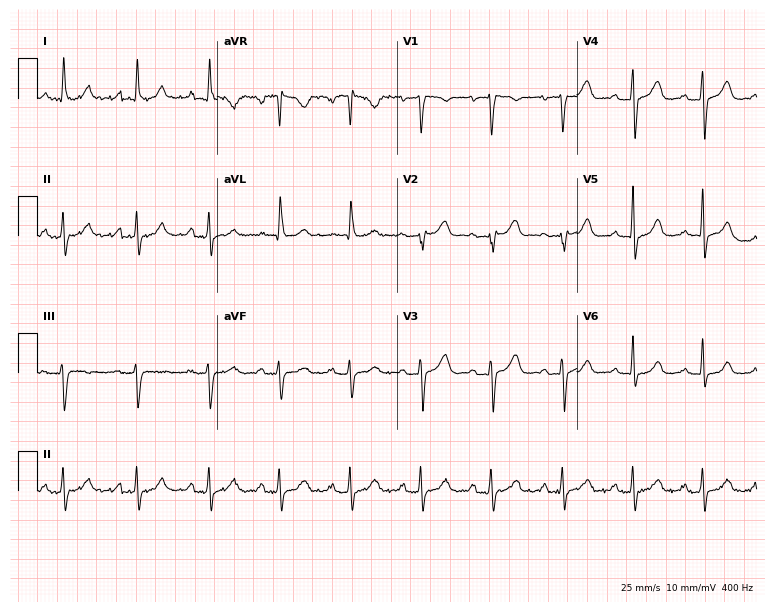
Electrocardiogram (7.3-second recording at 400 Hz), a female patient, 62 years old. Overall reading on record: normal ECG.